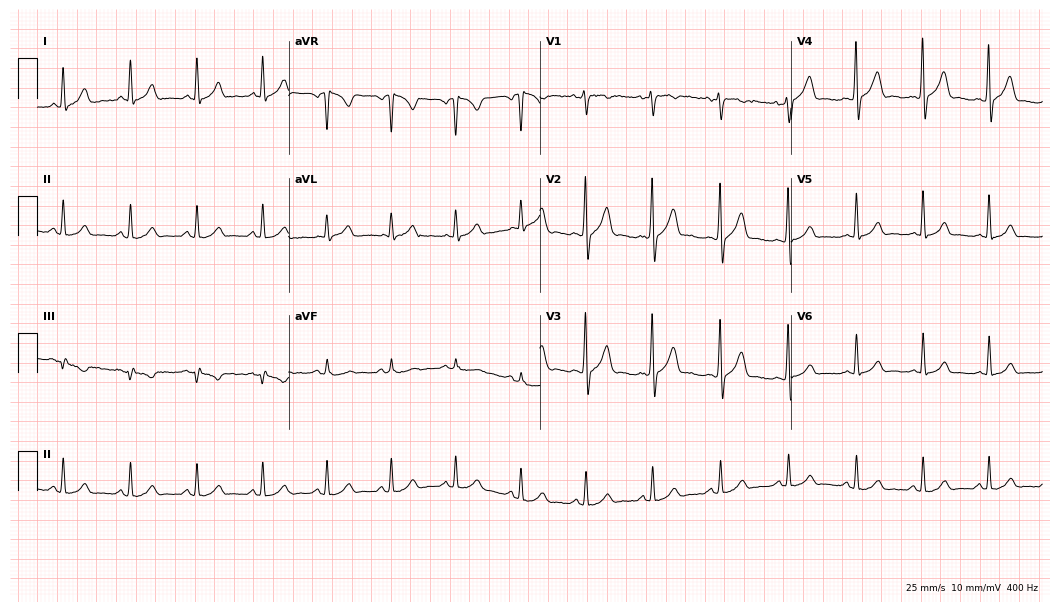
12-lead ECG from a 25-year-old man. Recorded interpretation: within normal limits.